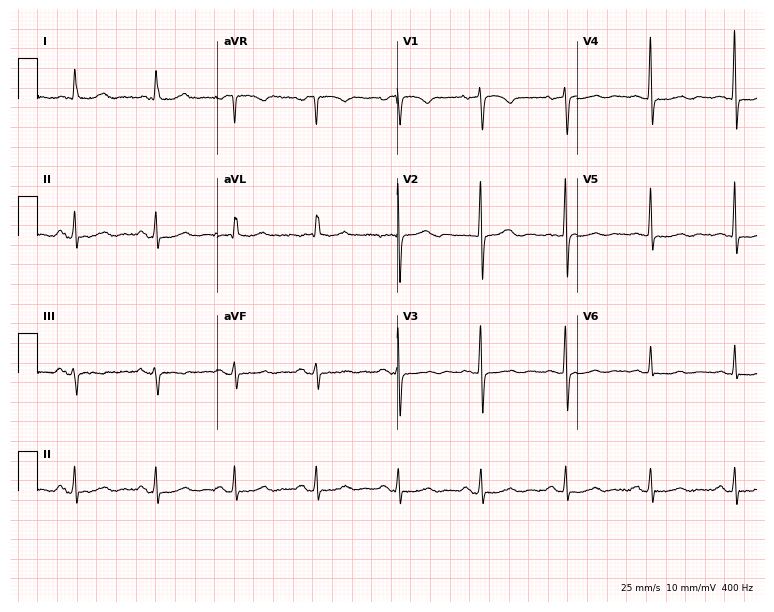
12-lead ECG from a 68-year-old woman (7.3-second recording at 400 Hz). No first-degree AV block, right bundle branch block, left bundle branch block, sinus bradycardia, atrial fibrillation or sinus tachycardia recorded for this tracing. Only these six findings were labelled.